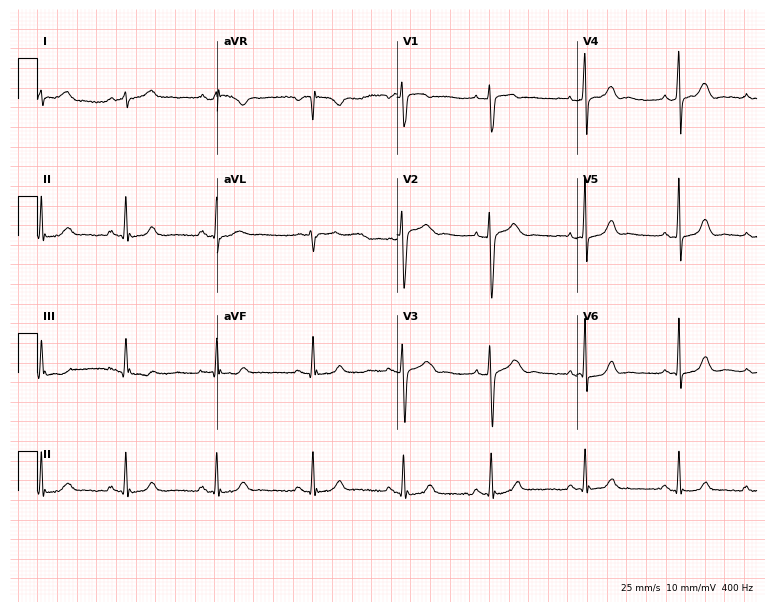
12-lead ECG from a 28-year-old female. Labelled as a normal ECG.